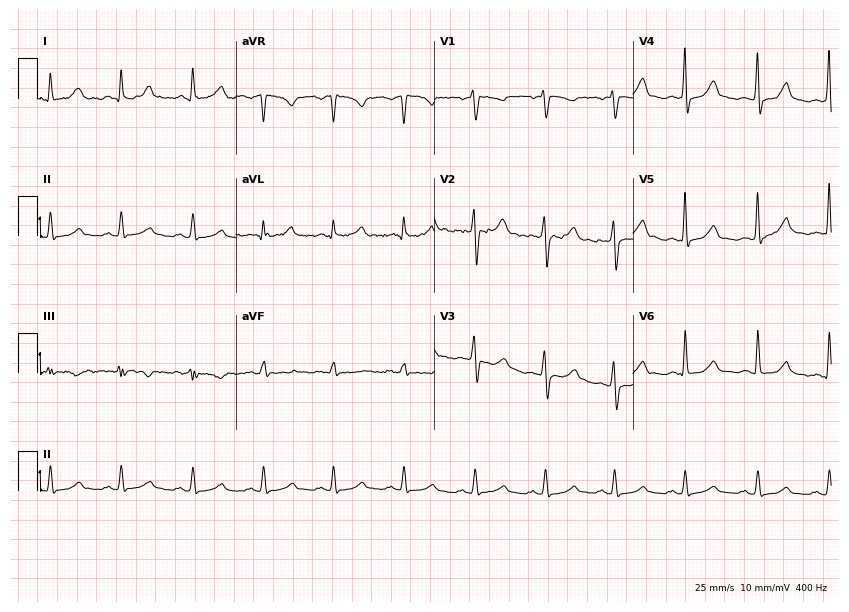
Electrocardiogram (8.1-second recording at 400 Hz), a 46-year-old man. Overall reading on record: normal ECG.